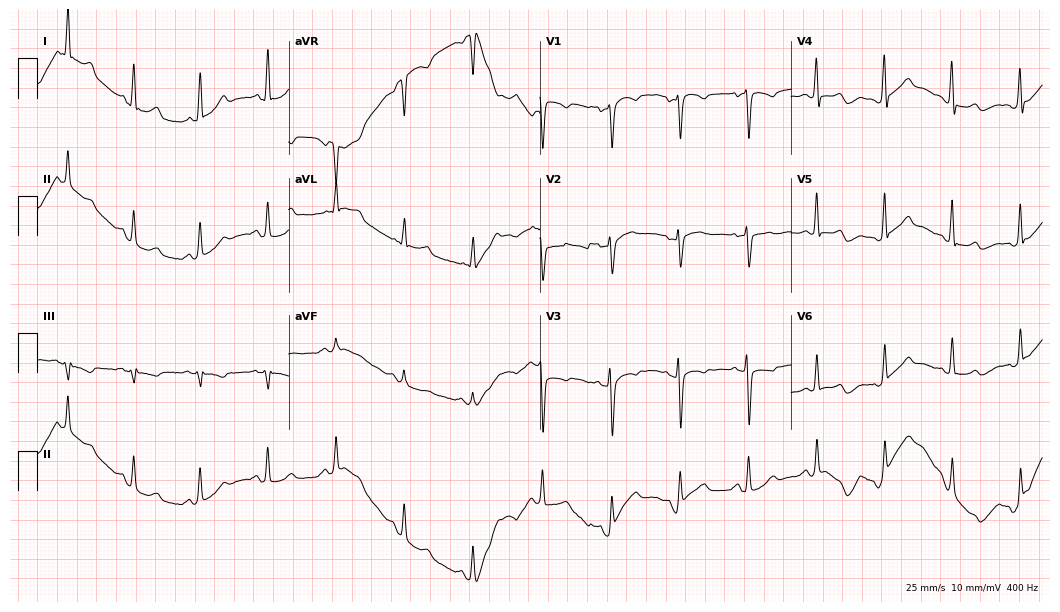
ECG — a female, 40 years old. Screened for six findings — first-degree AV block, right bundle branch block, left bundle branch block, sinus bradycardia, atrial fibrillation, sinus tachycardia — none is recorded. Other findings, if any, are not listed.